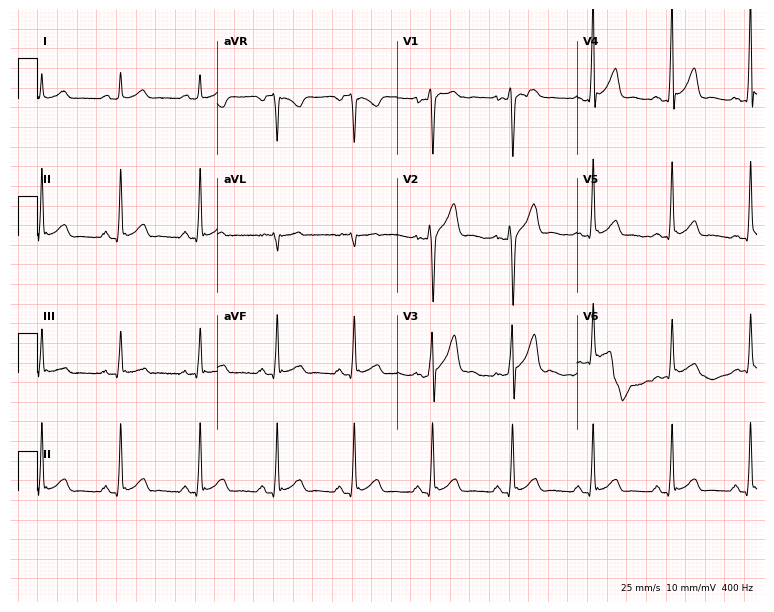
Resting 12-lead electrocardiogram (7.3-second recording at 400 Hz). Patient: a male, 28 years old. None of these six findings is recorded: first-degree AV block, right bundle branch block, left bundle branch block, sinus bradycardia, atrial fibrillation, sinus tachycardia.